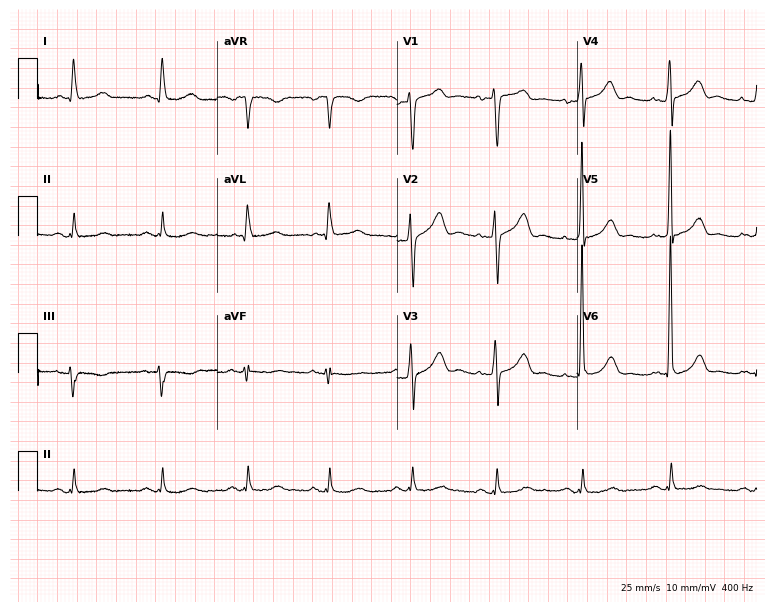
12-lead ECG from a 77-year-old man. Recorded interpretation: within normal limits.